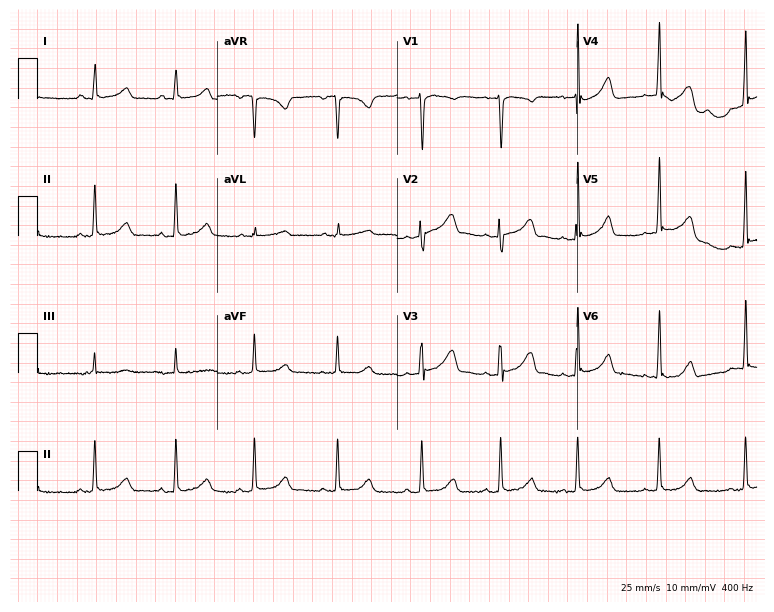
12-lead ECG from a female patient, 33 years old. Labelled as a normal ECG.